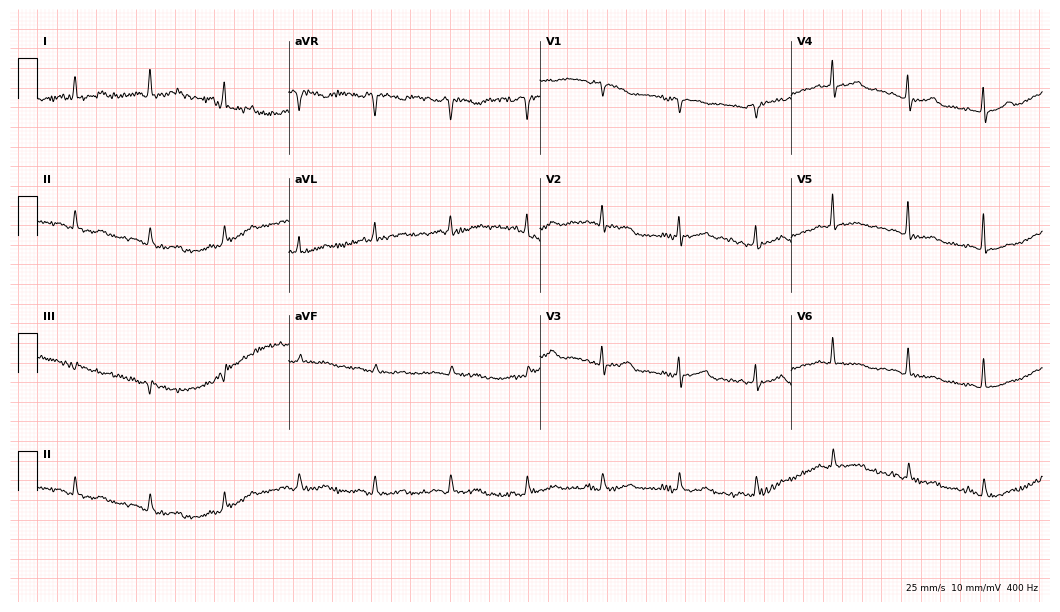
Electrocardiogram, a female patient, 75 years old. Of the six screened findings (first-degree AV block, right bundle branch block, left bundle branch block, sinus bradycardia, atrial fibrillation, sinus tachycardia), none is recorded. Findings outside these six are not listed.